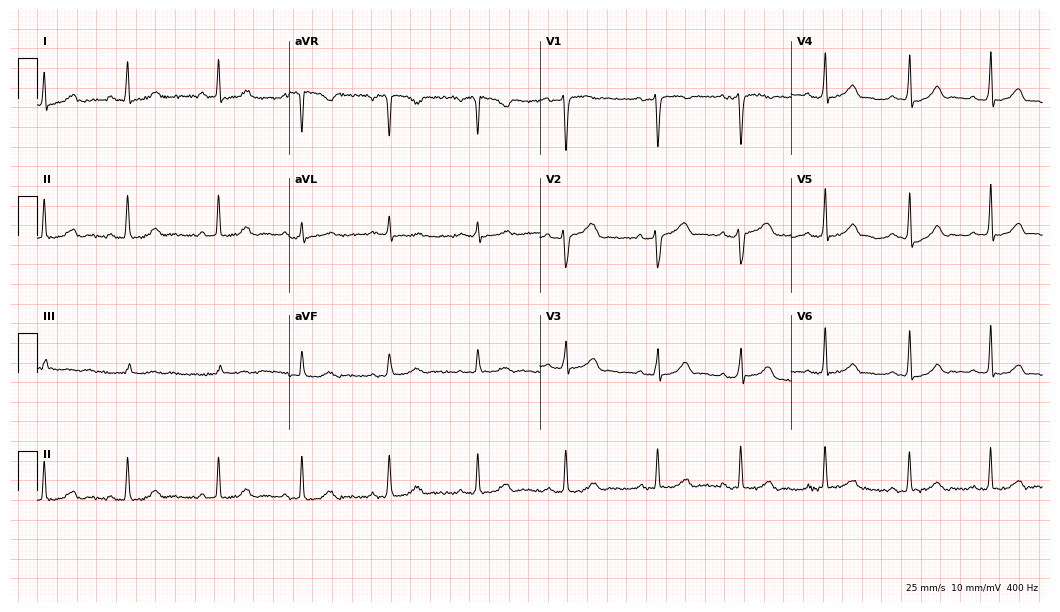
ECG — a woman, 22 years old. Labelled as a normal ECG.